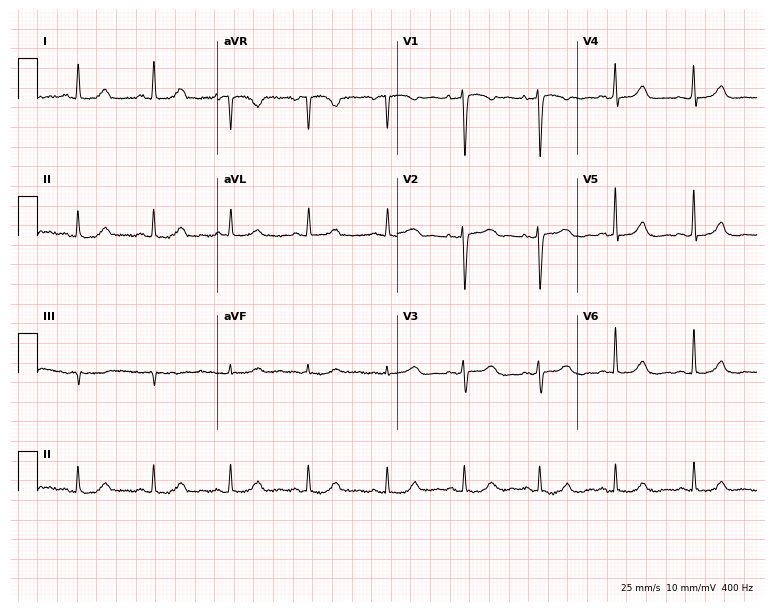
Resting 12-lead electrocardiogram (7.3-second recording at 400 Hz). Patient: a female, 49 years old. Read as a normal ECG.